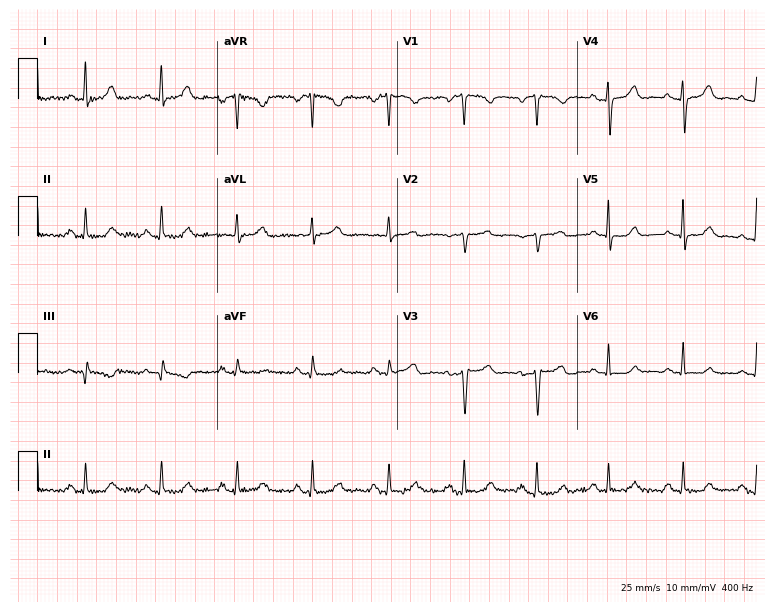
12-lead ECG from a woman, 81 years old (7.3-second recording at 400 Hz). No first-degree AV block, right bundle branch block (RBBB), left bundle branch block (LBBB), sinus bradycardia, atrial fibrillation (AF) or sinus tachycardia recorded for this tracing.